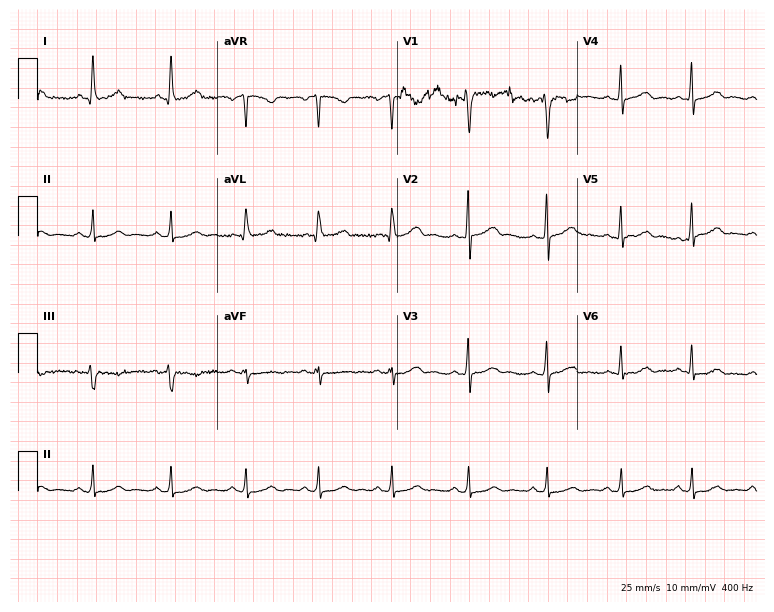
12-lead ECG from a 37-year-old female. No first-degree AV block, right bundle branch block (RBBB), left bundle branch block (LBBB), sinus bradycardia, atrial fibrillation (AF) or sinus tachycardia recorded for this tracing.